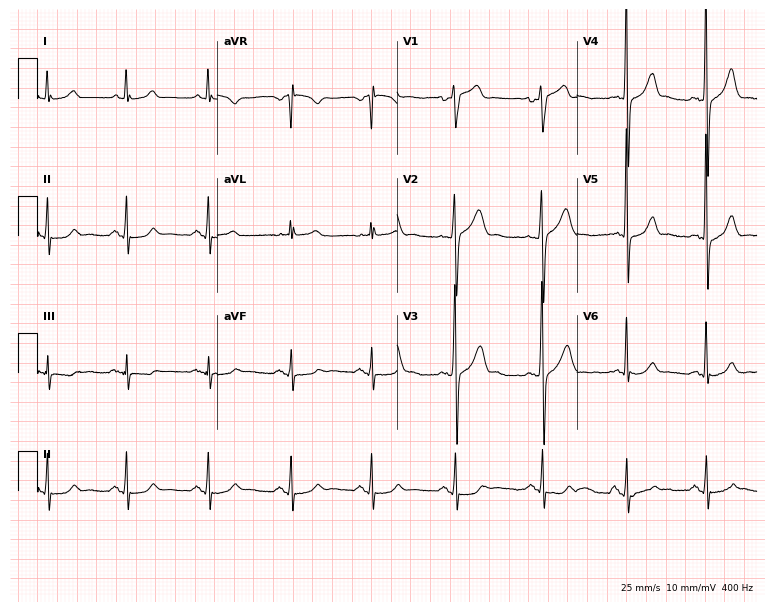
12-lead ECG (7.3-second recording at 400 Hz) from a 31-year-old male patient. Labelled as a normal ECG.